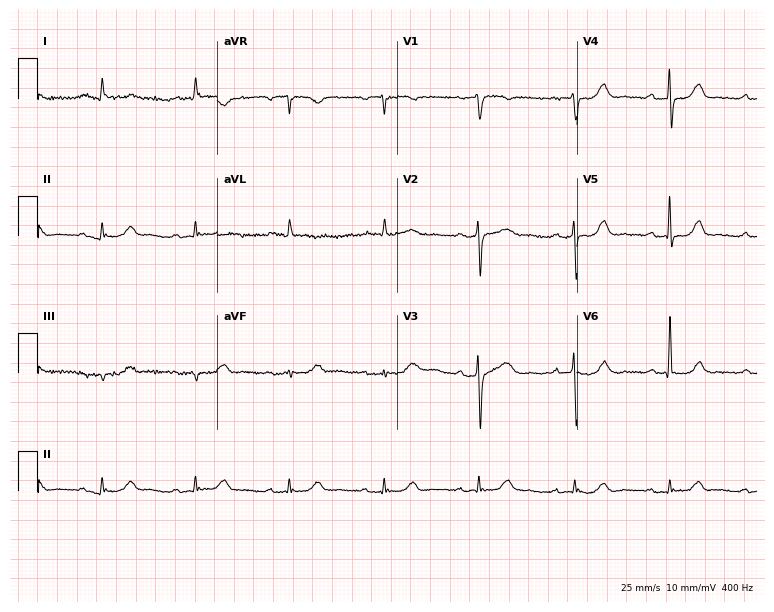
ECG (7.3-second recording at 400 Hz) — an 82-year-old male patient. Labelled as a normal ECG.